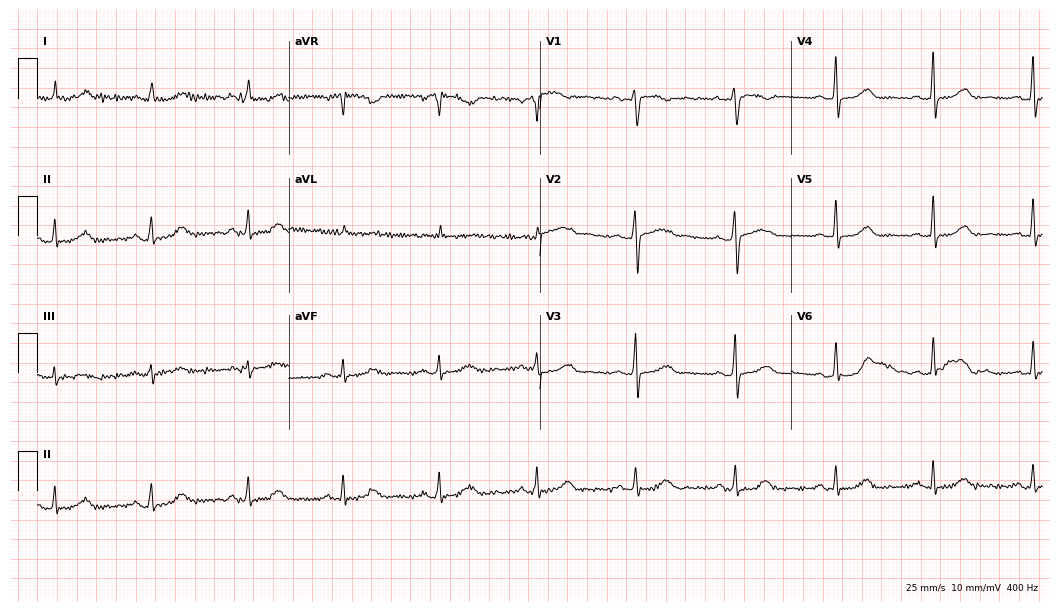
Electrocardiogram (10.2-second recording at 400 Hz), a female, 51 years old. Overall reading on record: normal ECG.